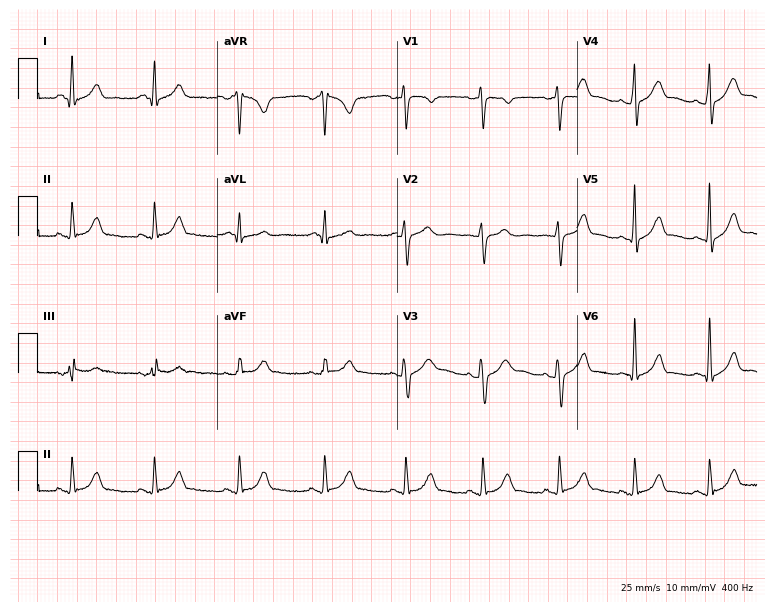
12-lead ECG from a male, 34 years old. Labelled as a normal ECG.